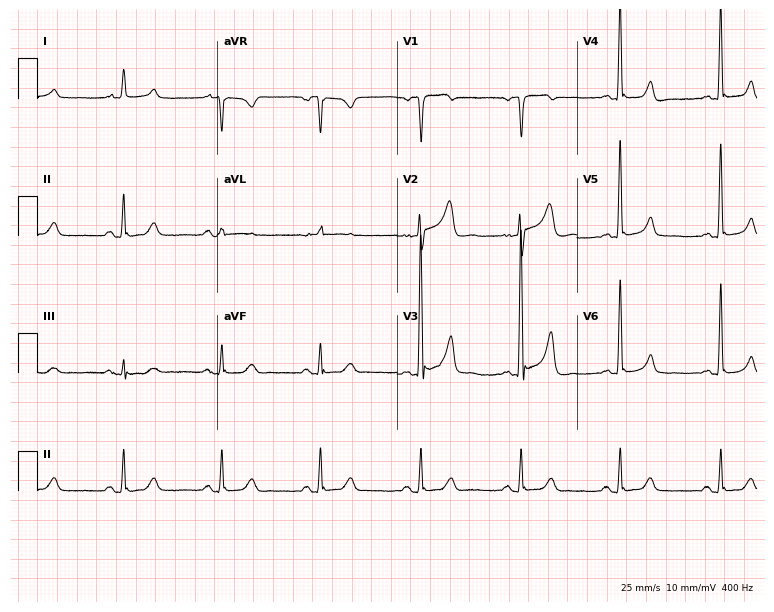
12-lead ECG from a male, 72 years old. Screened for six findings — first-degree AV block, right bundle branch block, left bundle branch block, sinus bradycardia, atrial fibrillation, sinus tachycardia — none is recorded.